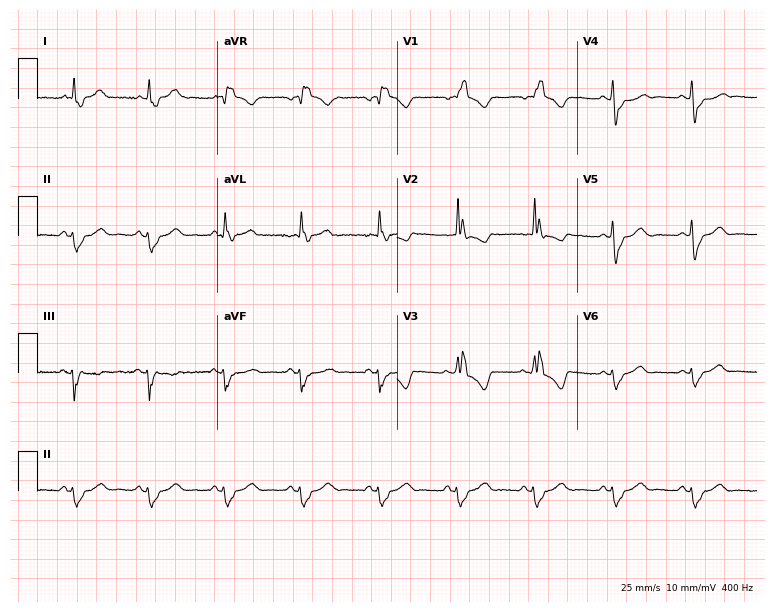
12-lead ECG from an 81-year-old female patient. Shows right bundle branch block.